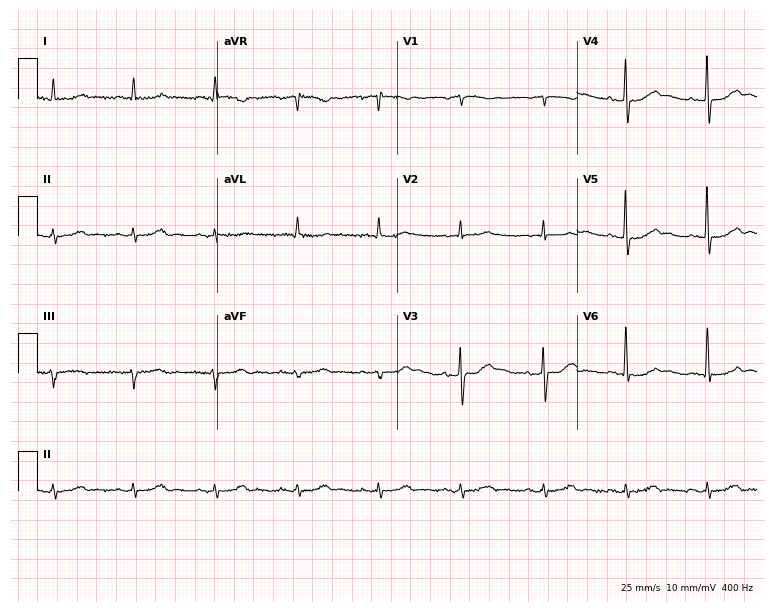
12-lead ECG from an 83-year-old man (7.3-second recording at 400 Hz). Recorded interpretation: within normal limits.